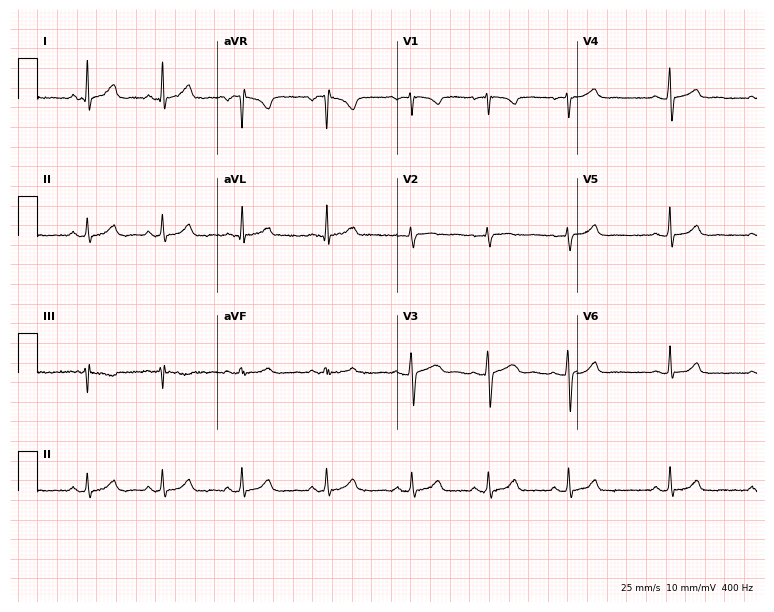
Electrocardiogram, a 17-year-old female patient. Overall reading on record: normal ECG.